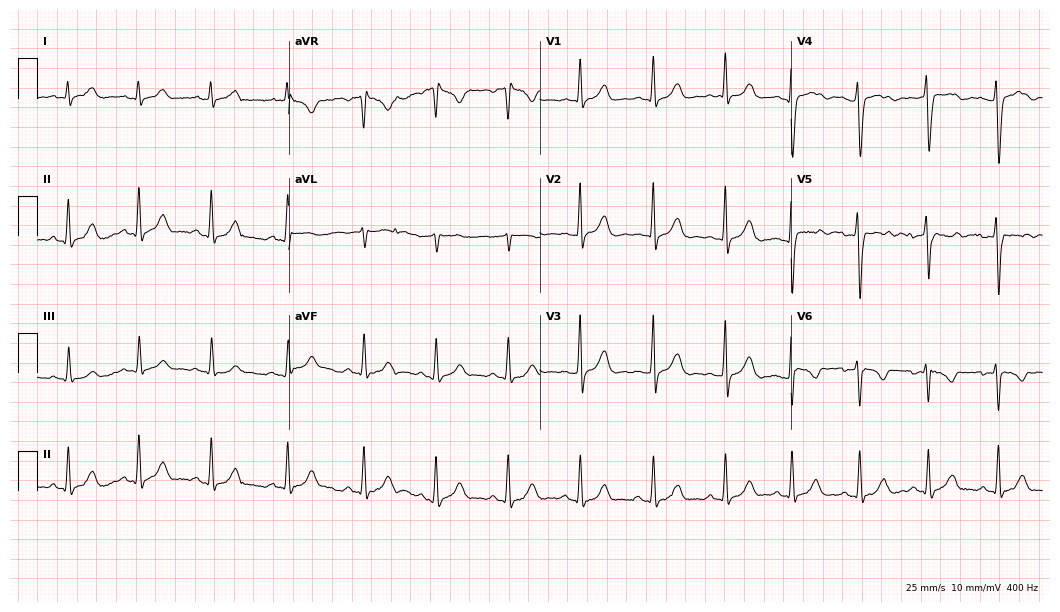
12-lead ECG from a 22-year-old female patient (10.2-second recording at 400 Hz). No first-degree AV block, right bundle branch block, left bundle branch block, sinus bradycardia, atrial fibrillation or sinus tachycardia recorded for this tracing.